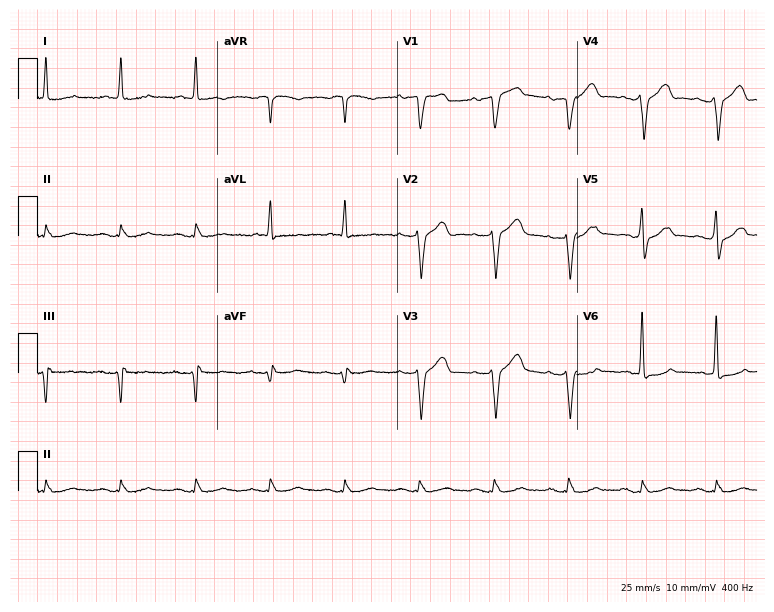
12-lead ECG from an 84-year-old female patient. Screened for six findings — first-degree AV block, right bundle branch block, left bundle branch block, sinus bradycardia, atrial fibrillation, sinus tachycardia — none is recorded.